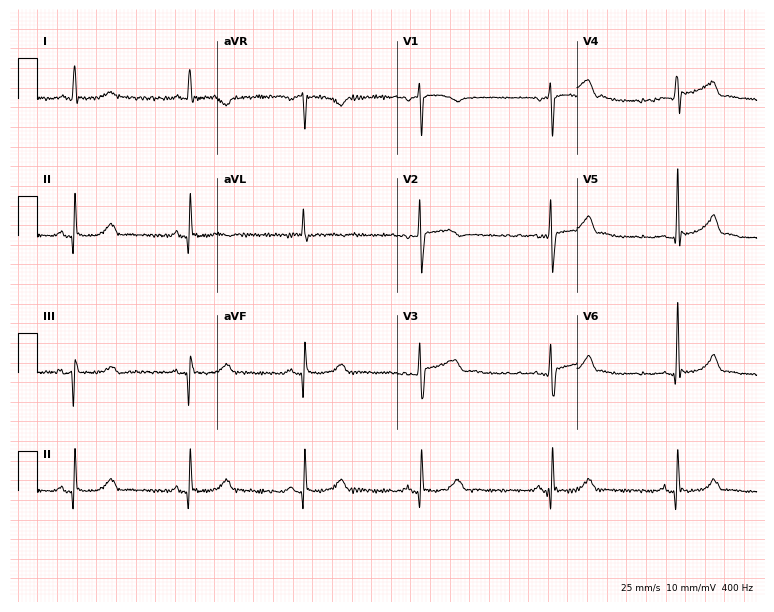
Standard 12-lead ECG recorded from a 50-year-old female patient (7.3-second recording at 400 Hz). None of these six findings is recorded: first-degree AV block, right bundle branch block (RBBB), left bundle branch block (LBBB), sinus bradycardia, atrial fibrillation (AF), sinus tachycardia.